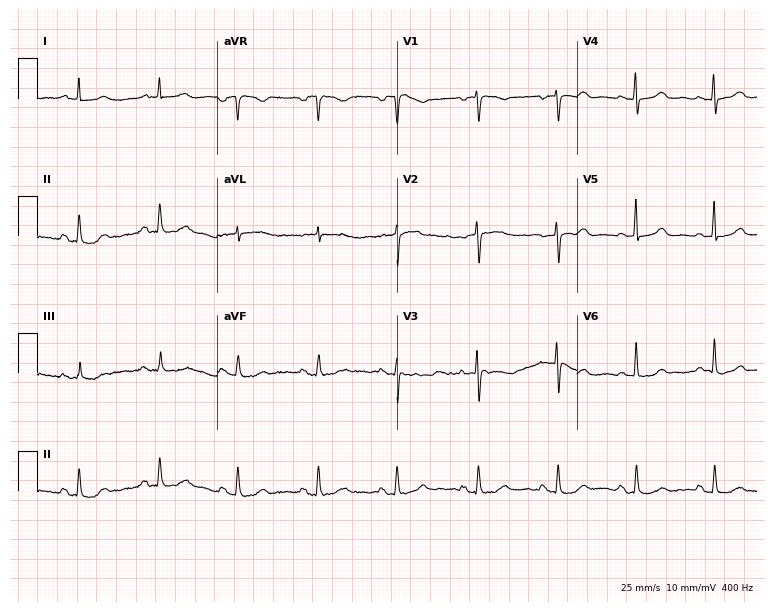
Standard 12-lead ECG recorded from a female patient, 55 years old. Read as a normal ECG.